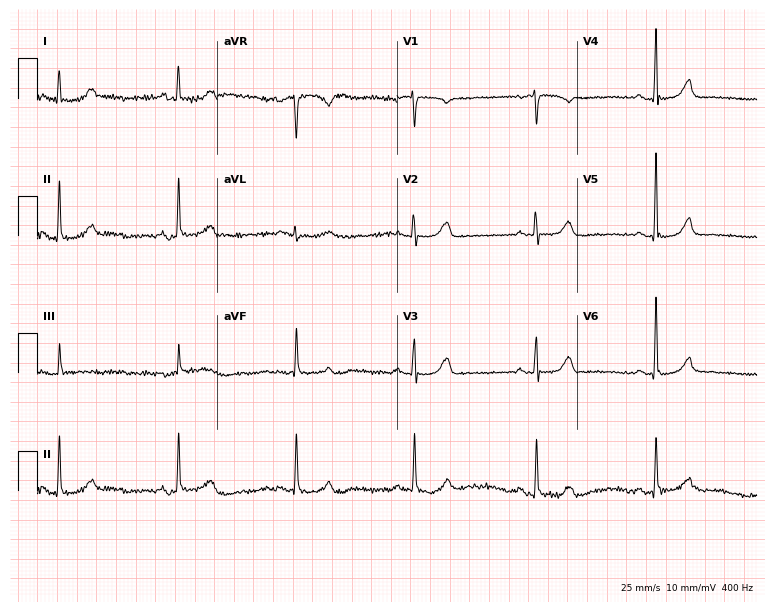
Resting 12-lead electrocardiogram (7.3-second recording at 400 Hz). Patient: a 70-year-old female. None of these six findings is recorded: first-degree AV block, right bundle branch block, left bundle branch block, sinus bradycardia, atrial fibrillation, sinus tachycardia. Findings outside these six are not listed.